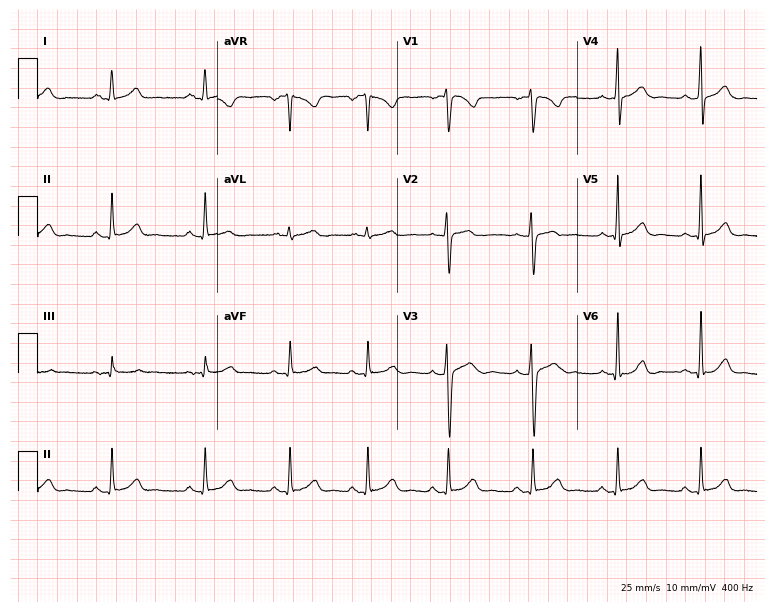
Electrocardiogram, a 26-year-old female. Overall reading on record: normal ECG.